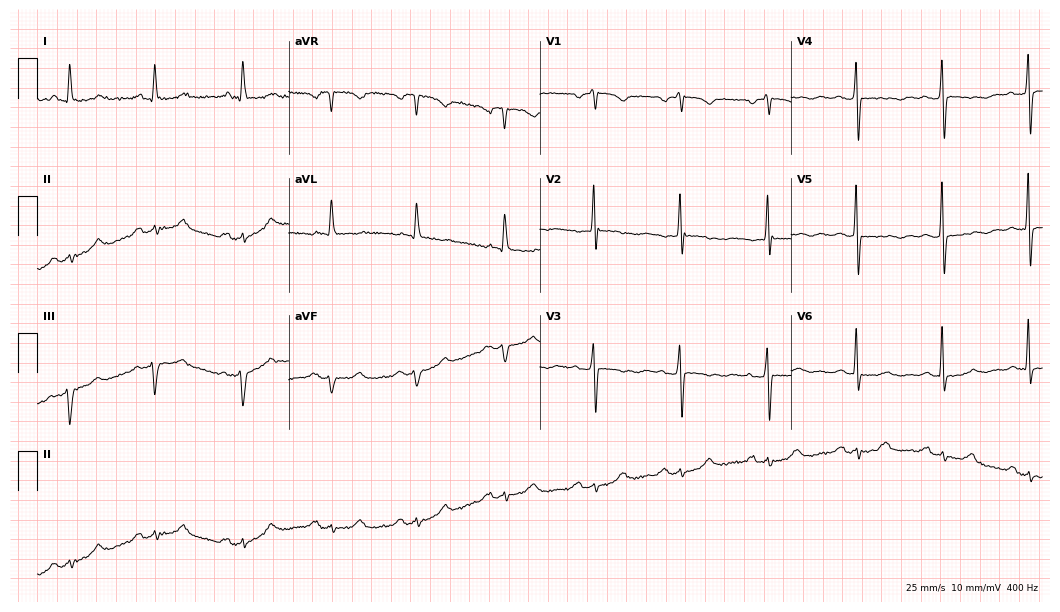
ECG — a 71-year-old woman. Screened for six findings — first-degree AV block, right bundle branch block, left bundle branch block, sinus bradycardia, atrial fibrillation, sinus tachycardia — none is recorded.